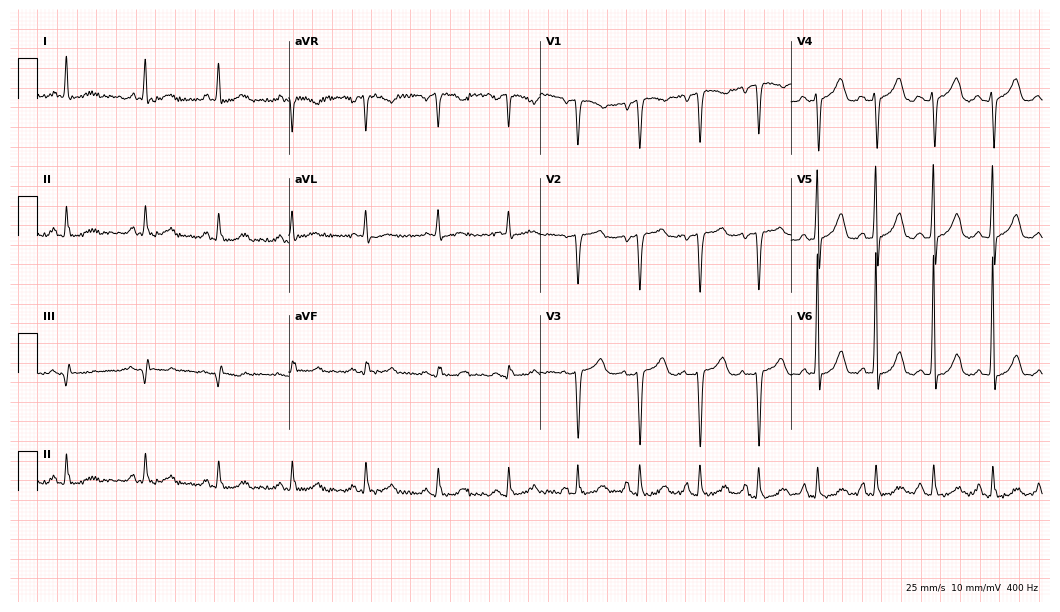
Resting 12-lead electrocardiogram. Patient: a female, 49 years old. None of these six findings is recorded: first-degree AV block, right bundle branch block, left bundle branch block, sinus bradycardia, atrial fibrillation, sinus tachycardia. Other findings, if any, are not listed.